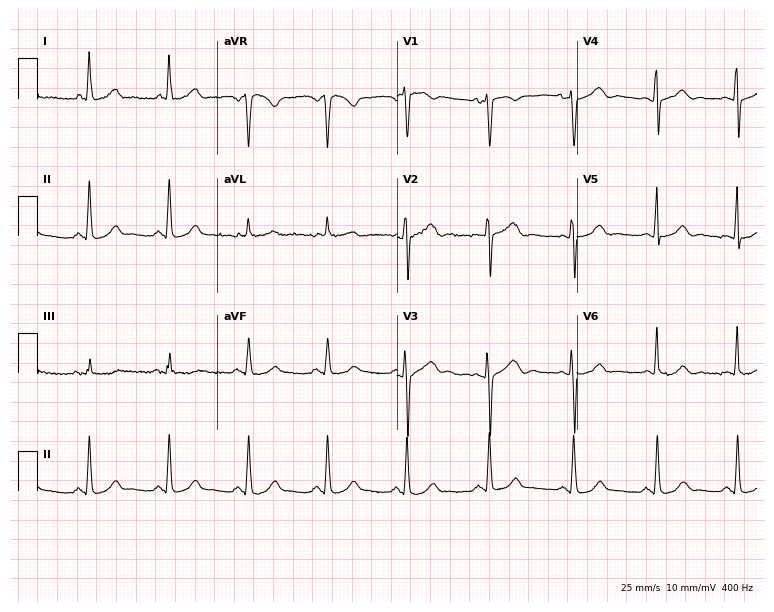
Electrocardiogram, a 32-year-old woman. Overall reading on record: normal ECG.